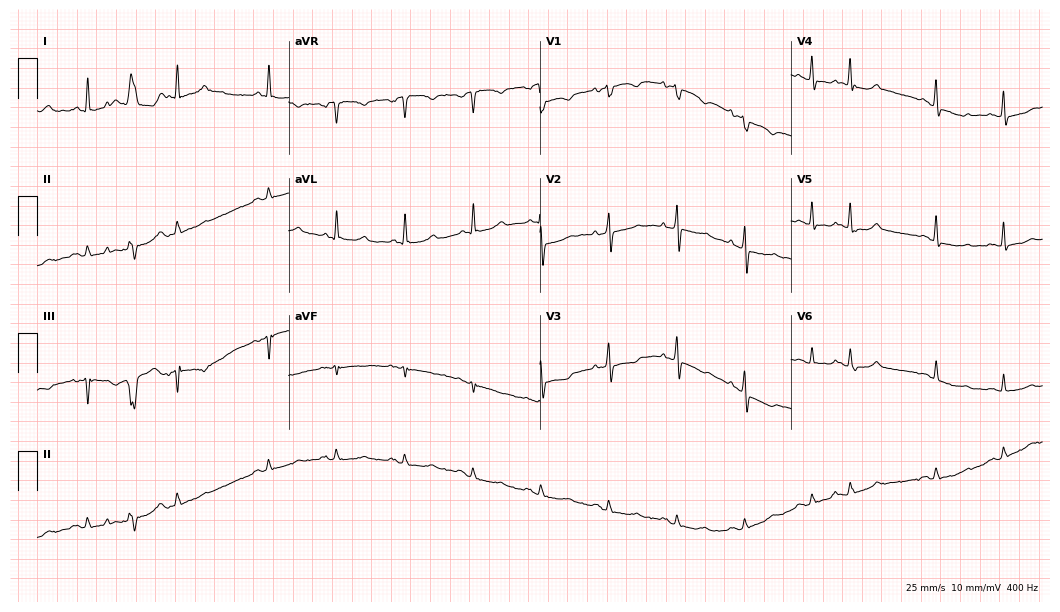
12-lead ECG from an 82-year-old woman. No first-degree AV block, right bundle branch block, left bundle branch block, sinus bradycardia, atrial fibrillation or sinus tachycardia recorded for this tracing. Only these six findings were labelled.